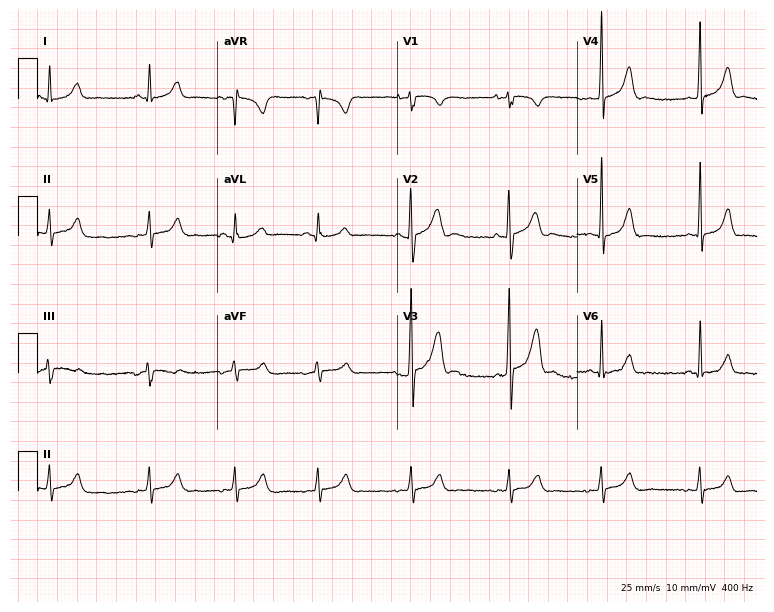
Resting 12-lead electrocardiogram. Patient: a 23-year-old man. Read as a normal ECG.